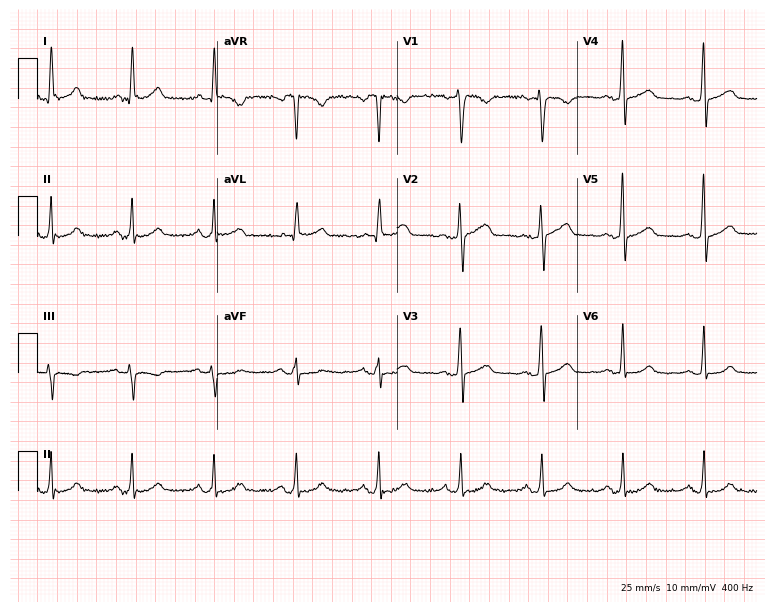
12-lead ECG (7.3-second recording at 400 Hz) from a 64-year-old male. Labelled as a normal ECG.